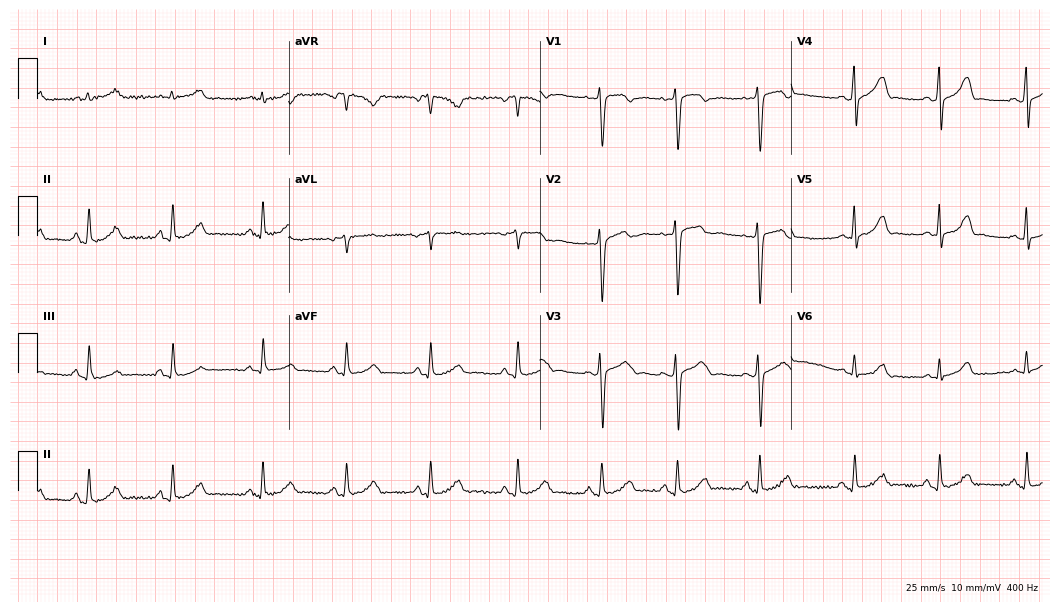
12-lead ECG (10.2-second recording at 400 Hz) from a 25-year-old female patient. Screened for six findings — first-degree AV block, right bundle branch block, left bundle branch block, sinus bradycardia, atrial fibrillation, sinus tachycardia — none is recorded. Only these six findings were labelled.